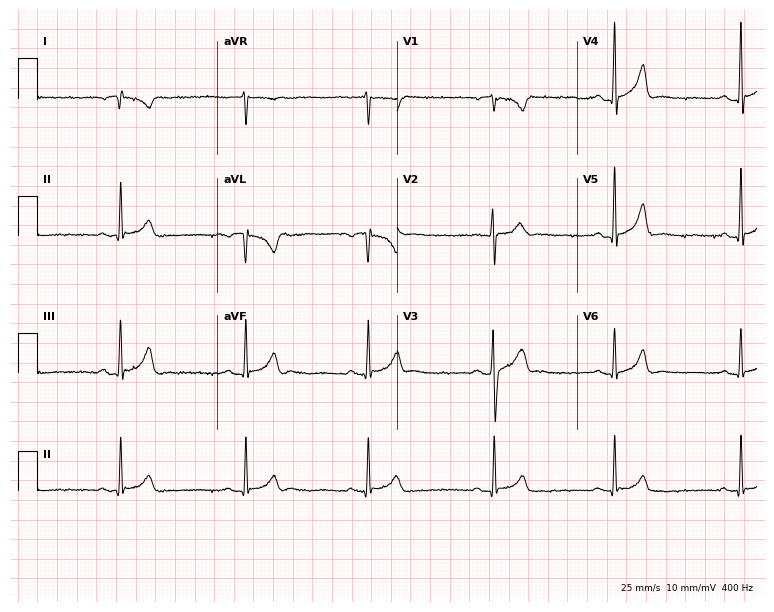
Standard 12-lead ECG recorded from a 19-year-old female patient (7.3-second recording at 400 Hz). None of these six findings is recorded: first-degree AV block, right bundle branch block, left bundle branch block, sinus bradycardia, atrial fibrillation, sinus tachycardia. Other findings, if any, are not listed.